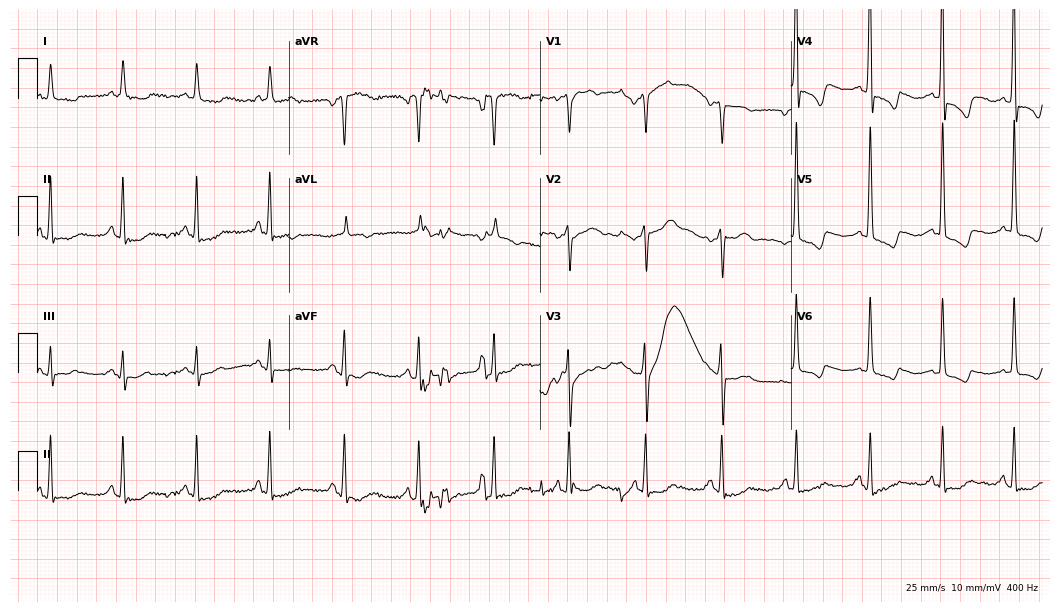
12-lead ECG from a female, 80 years old. No first-degree AV block, right bundle branch block (RBBB), left bundle branch block (LBBB), sinus bradycardia, atrial fibrillation (AF) or sinus tachycardia recorded for this tracing.